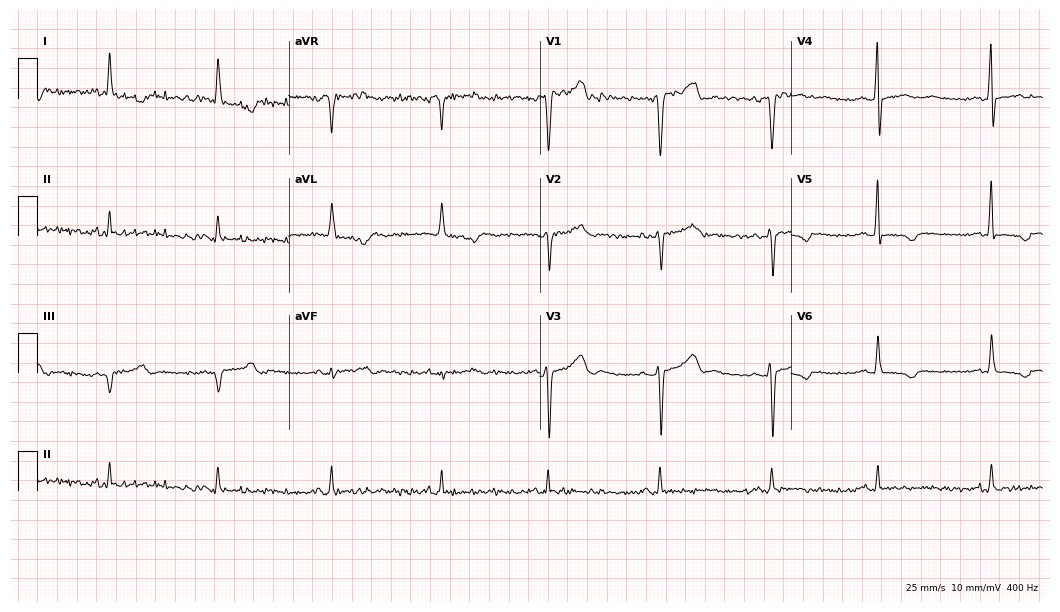
Electrocardiogram (10.2-second recording at 400 Hz), a female, 59 years old. Of the six screened findings (first-degree AV block, right bundle branch block, left bundle branch block, sinus bradycardia, atrial fibrillation, sinus tachycardia), none is recorded. Other findings, if any, are not listed.